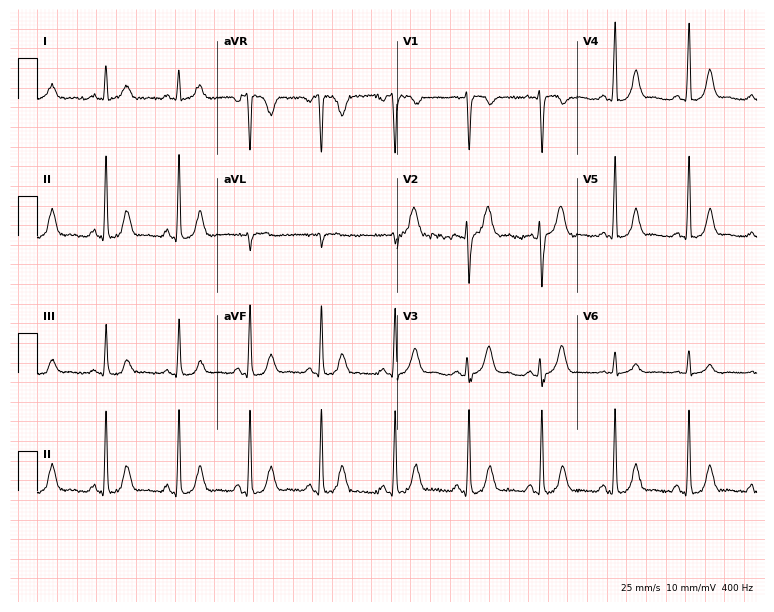
12-lead ECG from a woman, 32 years old. Screened for six findings — first-degree AV block, right bundle branch block, left bundle branch block, sinus bradycardia, atrial fibrillation, sinus tachycardia — none is recorded. Other findings, if any, are not listed.